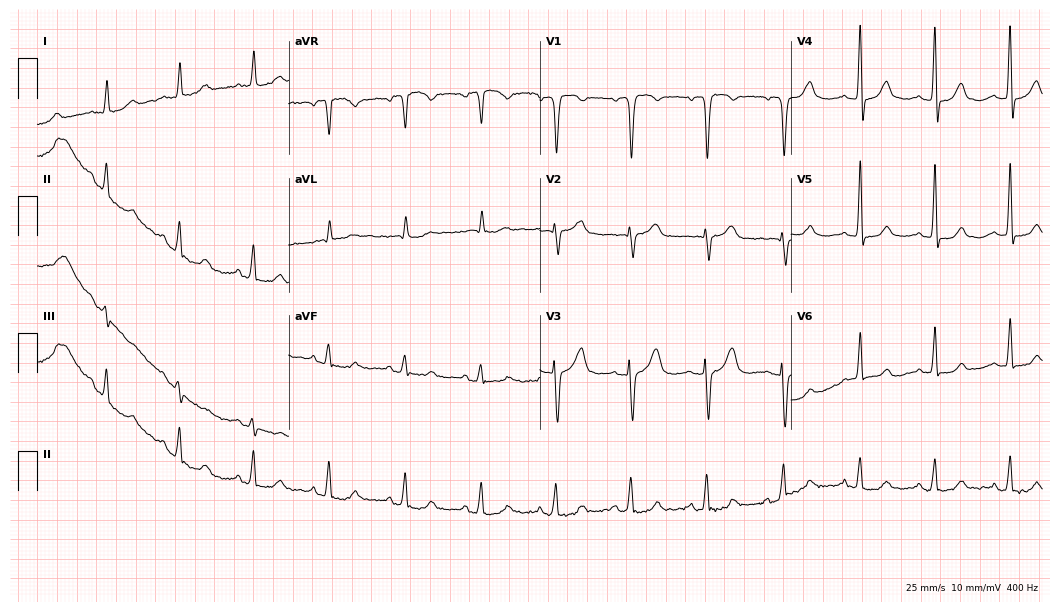
Electrocardiogram (10.2-second recording at 400 Hz), a male patient, 84 years old. Of the six screened findings (first-degree AV block, right bundle branch block (RBBB), left bundle branch block (LBBB), sinus bradycardia, atrial fibrillation (AF), sinus tachycardia), none is recorded. Other findings, if any, are not listed.